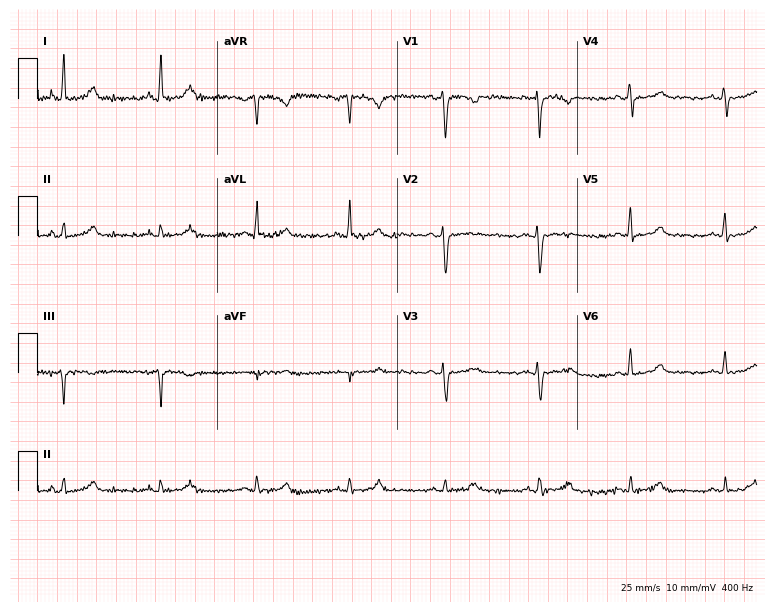
Electrocardiogram, a woman, 55 years old. Of the six screened findings (first-degree AV block, right bundle branch block, left bundle branch block, sinus bradycardia, atrial fibrillation, sinus tachycardia), none is recorded. Findings outside these six are not listed.